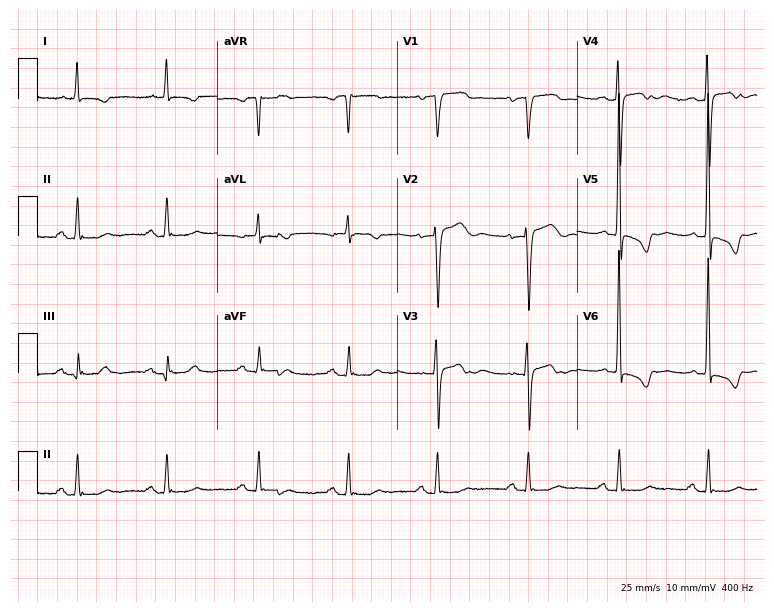
ECG (7.3-second recording at 400 Hz) — a female, 75 years old. Screened for six findings — first-degree AV block, right bundle branch block, left bundle branch block, sinus bradycardia, atrial fibrillation, sinus tachycardia — none is recorded. Only these six findings were labelled.